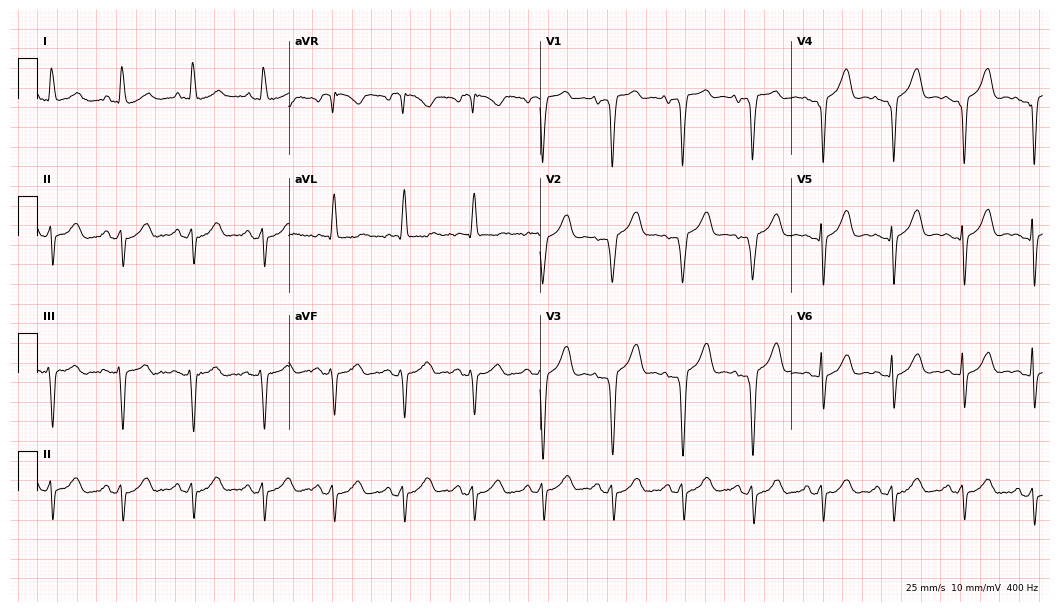
Electrocardiogram (10.2-second recording at 400 Hz), a female, 73 years old. Of the six screened findings (first-degree AV block, right bundle branch block (RBBB), left bundle branch block (LBBB), sinus bradycardia, atrial fibrillation (AF), sinus tachycardia), none is recorded.